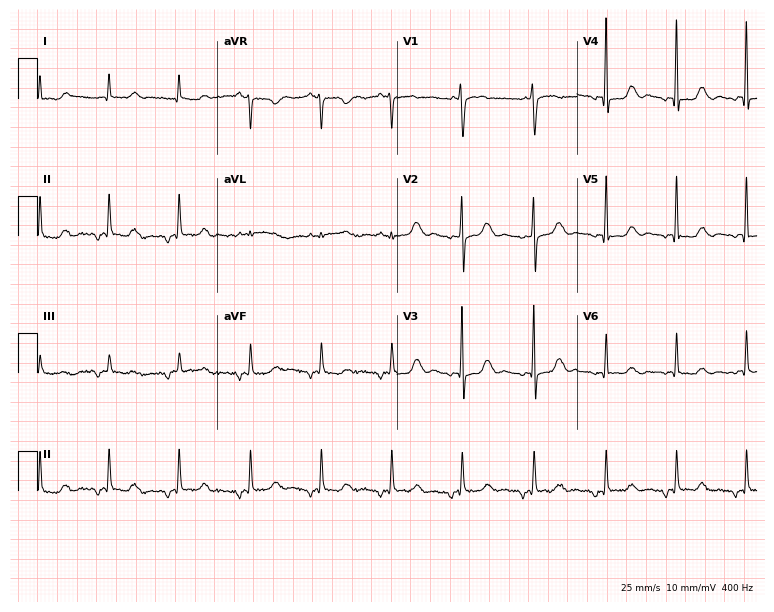
Resting 12-lead electrocardiogram (7.3-second recording at 400 Hz). Patient: a female, 59 years old. None of these six findings is recorded: first-degree AV block, right bundle branch block, left bundle branch block, sinus bradycardia, atrial fibrillation, sinus tachycardia.